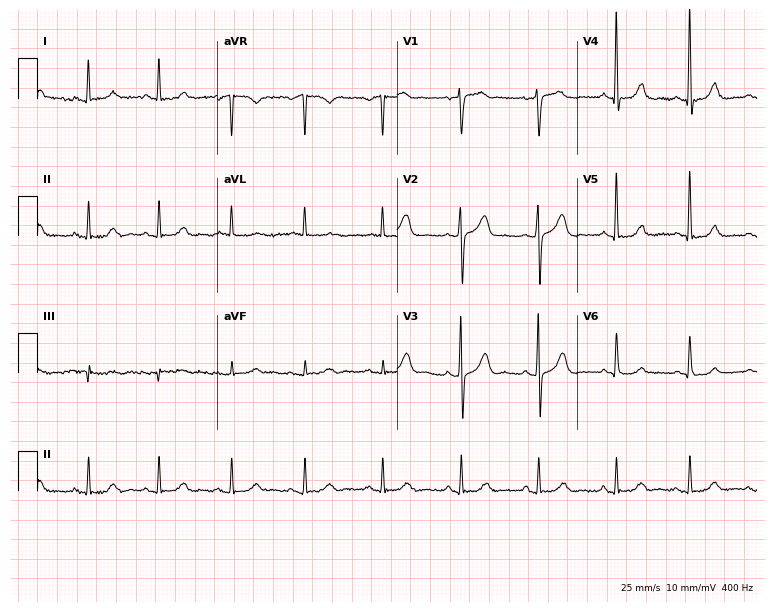
ECG — a female patient, 84 years old. Labelled as a normal ECG.